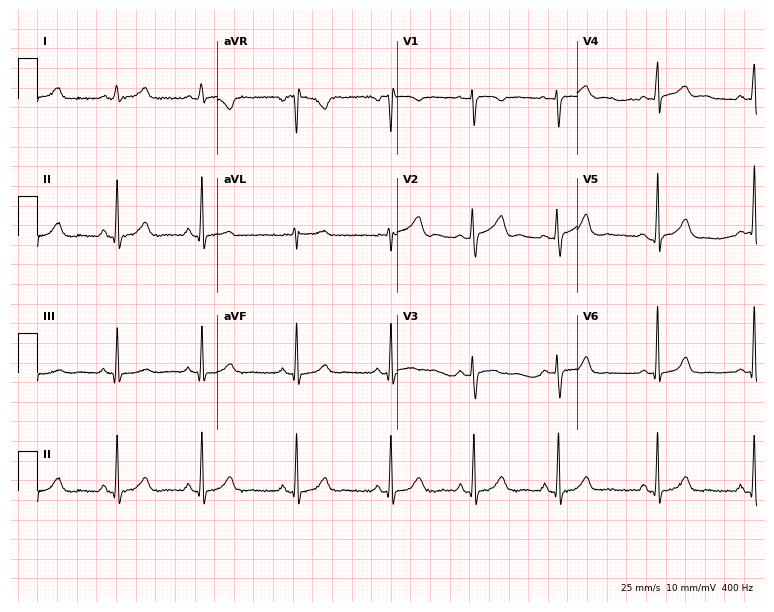
Electrocardiogram (7.3-second recording at 400 Hz), a 28-year-old female patient. Overall reading on record: normal ECG.